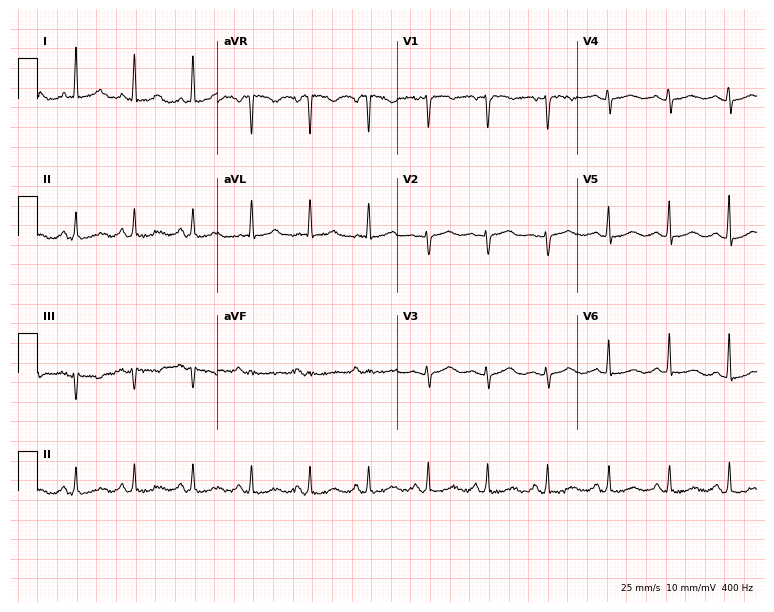
12-lead ECG from a female patient, 51 years old (7.3-second recording at 400 Hz). Recorded interpretation: within normal limits.